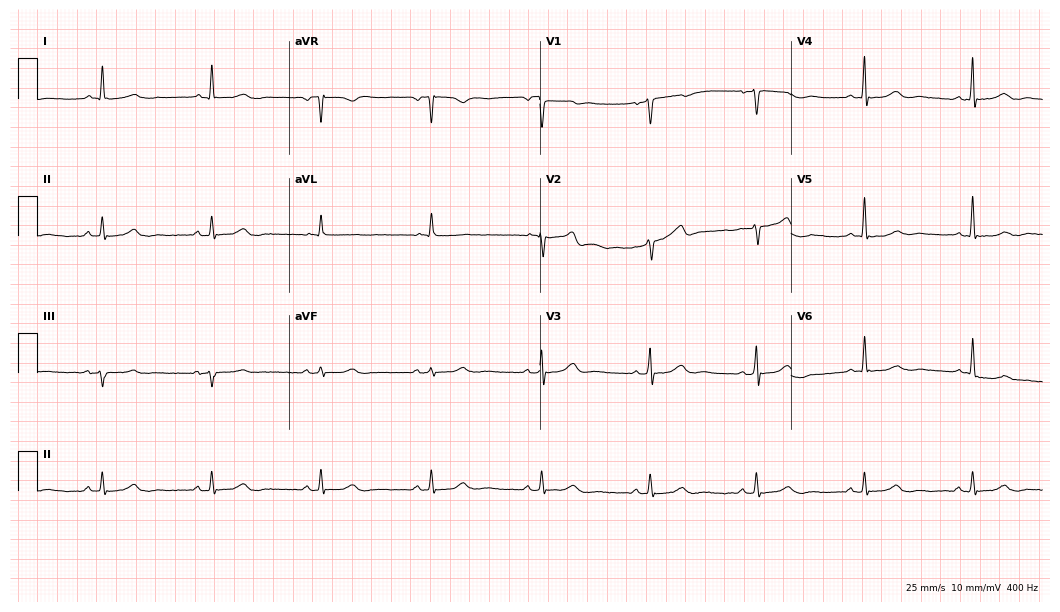
ECG (10.2-second recording at 400 Hz) — a 67-year-old man. Screened for six findings — first-degree AV block, right bundle branch block (RBBB), left bundle branch block (LBBB), sinus bradycardia, atrial fibrillation (AF), sinus tachycardia — none is recorded.